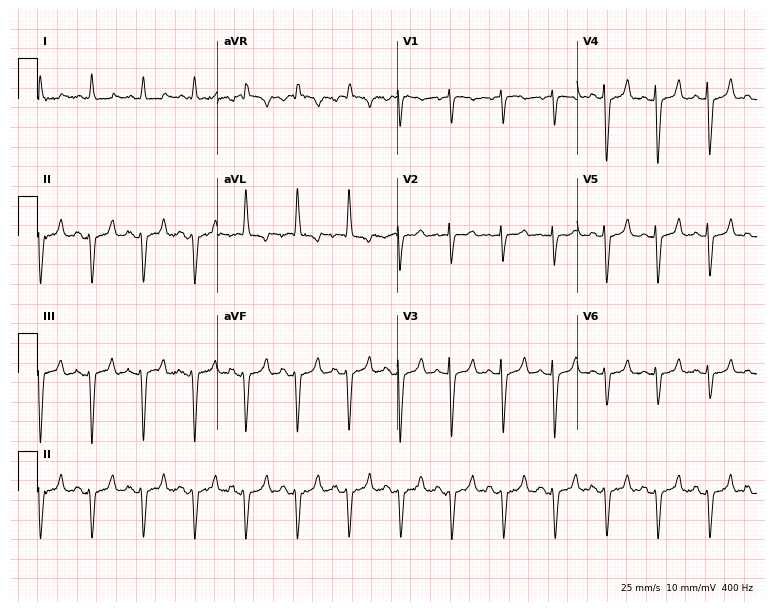
ECG — a woman, 78 years old. Findings include sinus tachycardia (a sinus rate of 100 beats per minute or more).